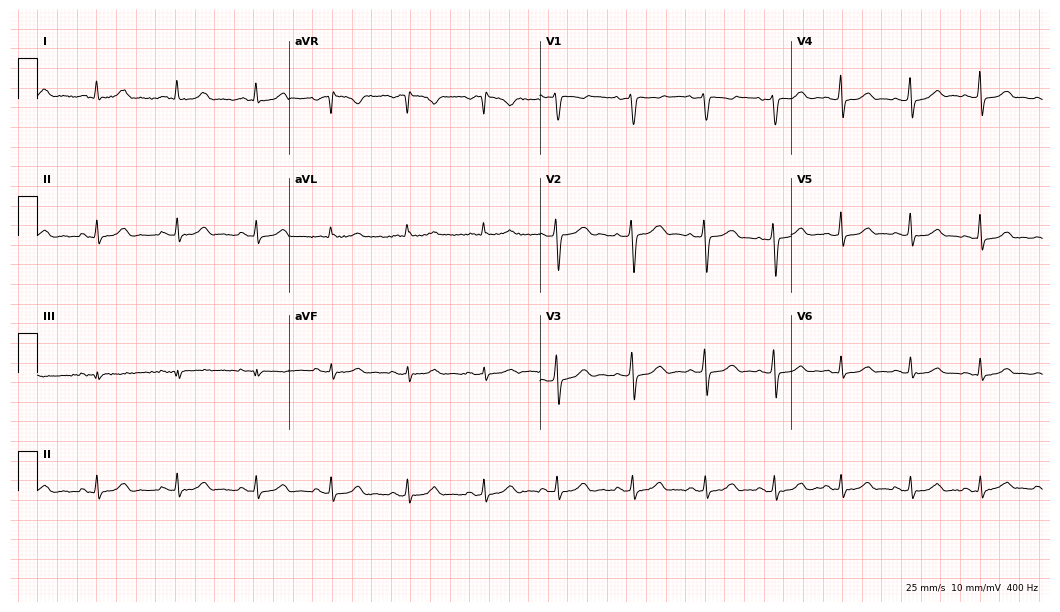
Electrocardiogram (10.2-second recording at 400 Hz), a woman, 41 years old. Overall reading on record: normal ECG.